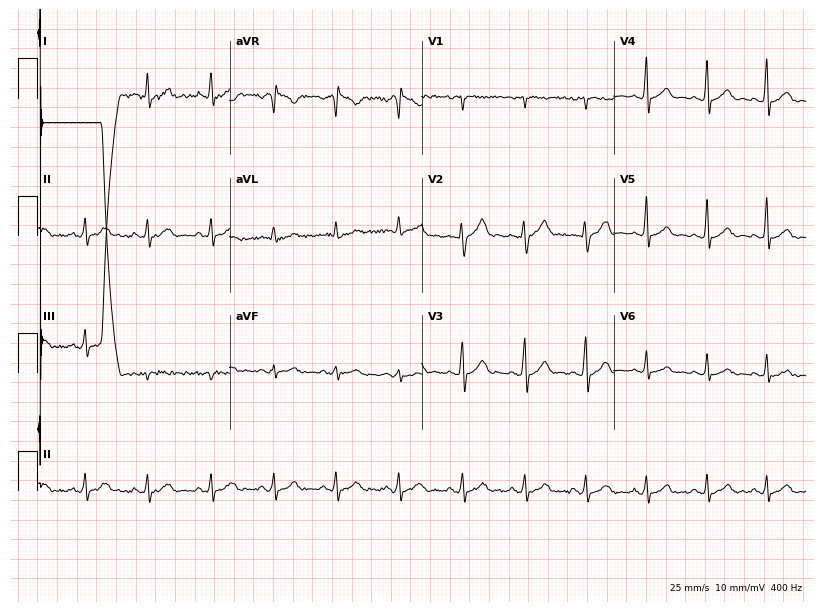
ECG — a male patient, 33 years old. Labelled as a normal ECG.